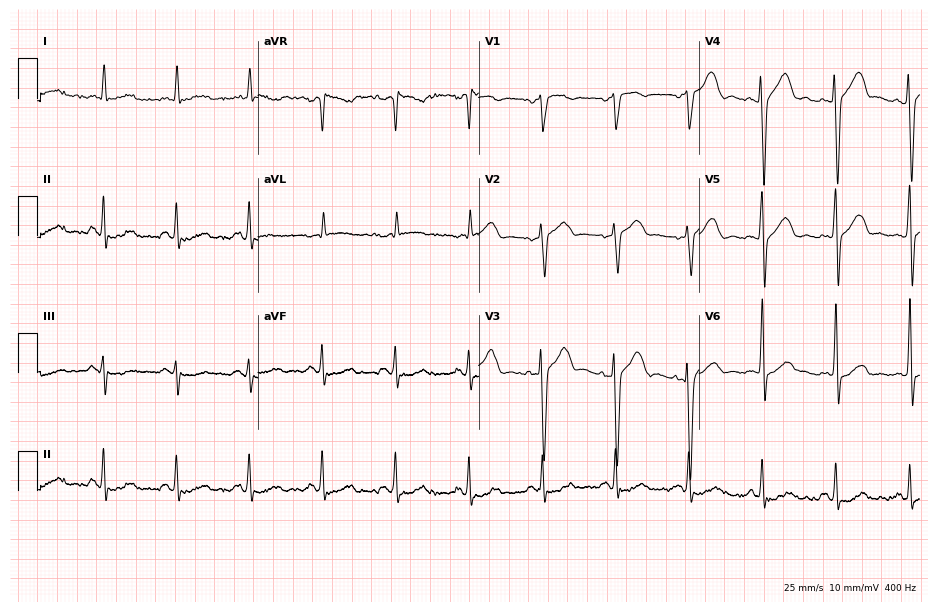
ECG — a male, 63 years old. Labelled as a normal ECG.